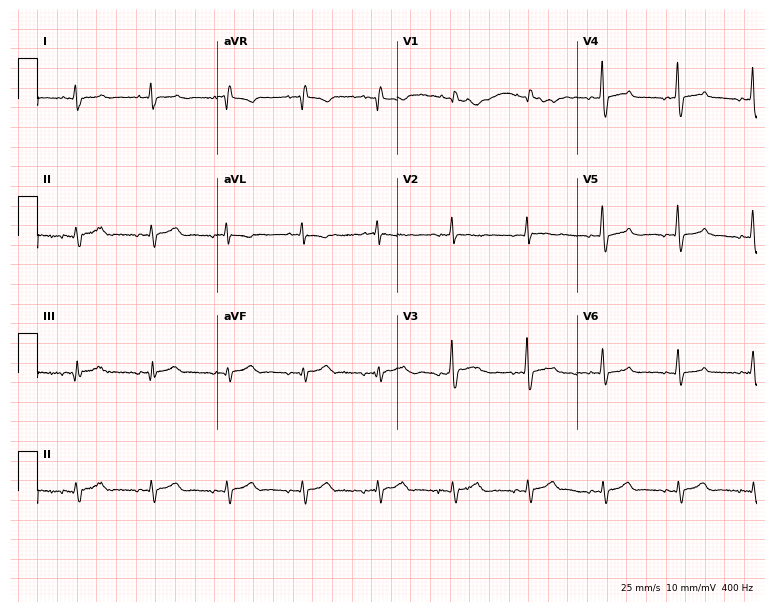
12-lead ECG (7.3-second recording at 400 Hz) from a 58-year-old female. Screened for six findings — first-degree AV block, right bundle branch block, left bundle branch block, sinus bradycardia, atrial fibrillation, sinus tachycardia — none is recorded.